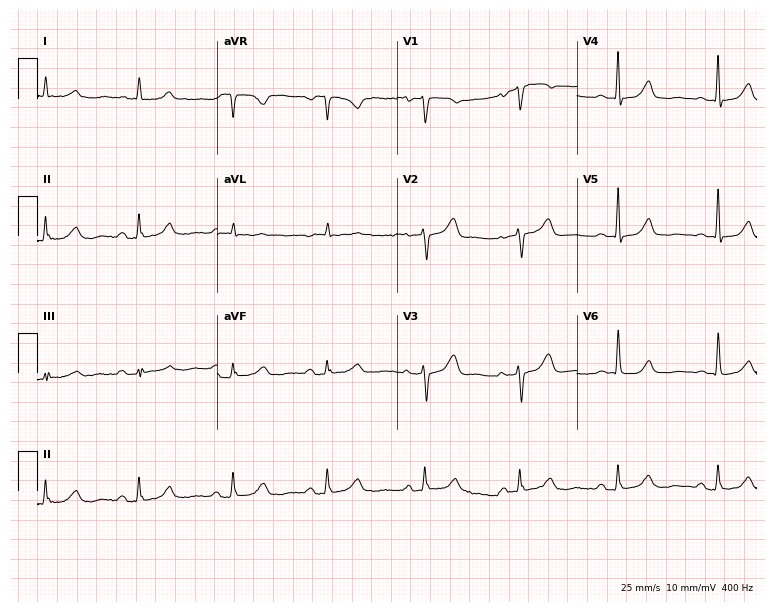
Electrocardiogram (7.3-second recording at 400 Hz), a female, 70 years old. Of the six screened findings (first-degree AV block, right bundle branch block, left bundle branch block, sinus bradycardia, atrial fibrillation, sinus tachycardia), none is recorded. Findings outside these six are not listed.